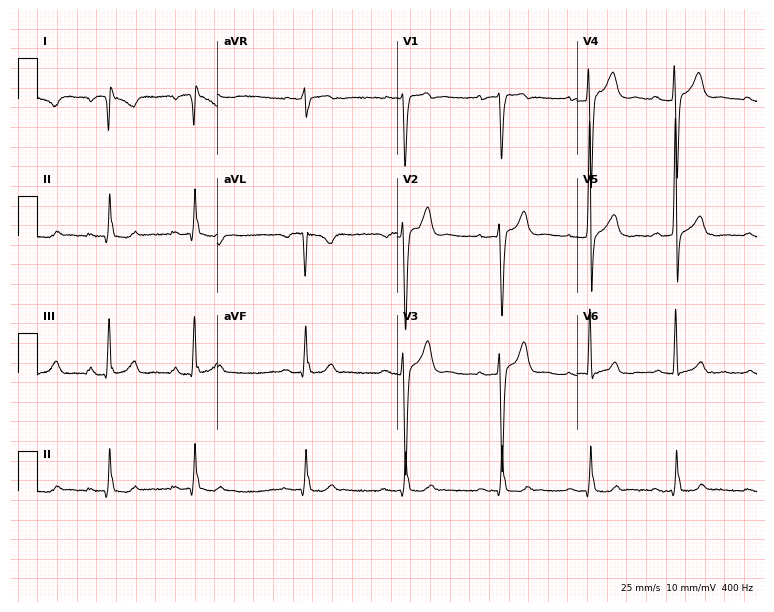
Standard 12-lead ECG recorded from a male, 35 years old. Read as a normal ECG.